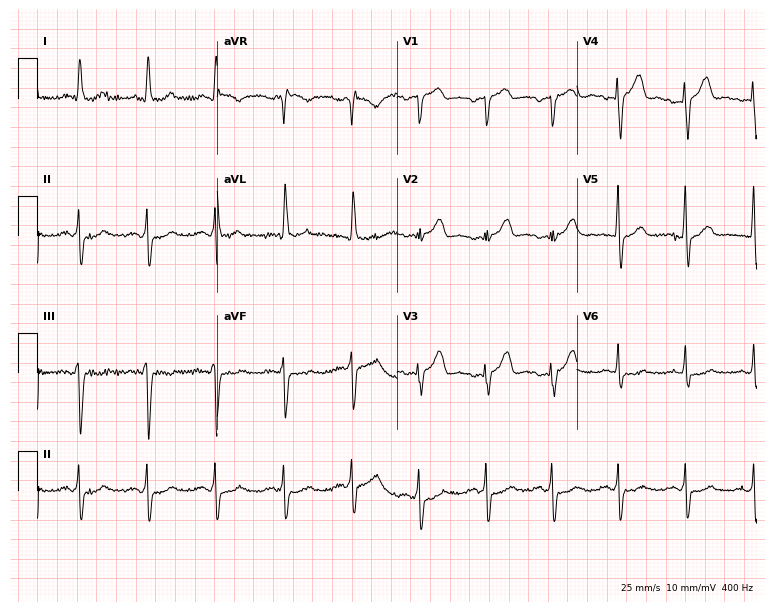
ECG (7.3-second recording at 400 Hz) — a 67-year-old female. Screened for six findings — first-degree AV block, right bundle branch block, left bundle branch block, sinus bradycardia, atrial fibrillation, sinus tachycardia — none is recorded. Findings outside these six are not listed.